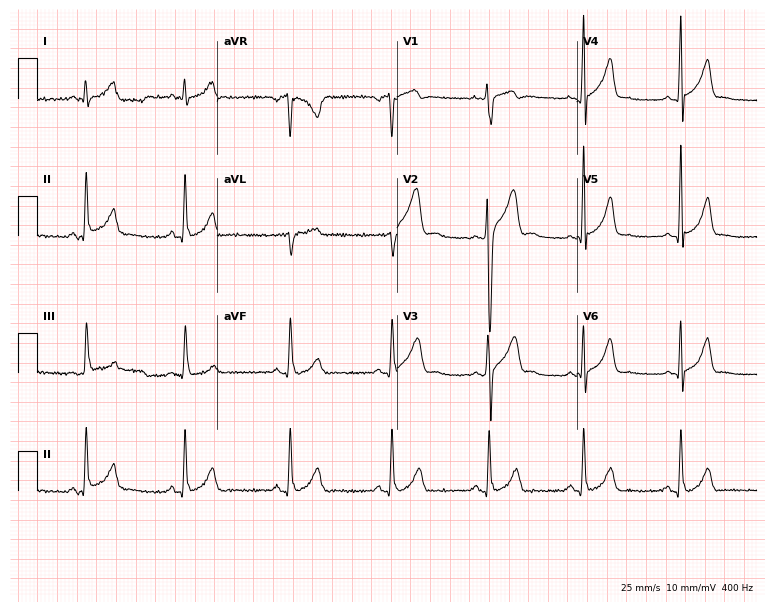
Electrocardiogram (7.3-second recording at 400 Hz), an 18-year-old male patient. Of the six screened findings (first-degree AV block, right bundle branch block (RBBB), left bundle branch block (LBBB), sinus bradycardia, atrial fibrillation (AF), sinus tachycardia), none is recorded.